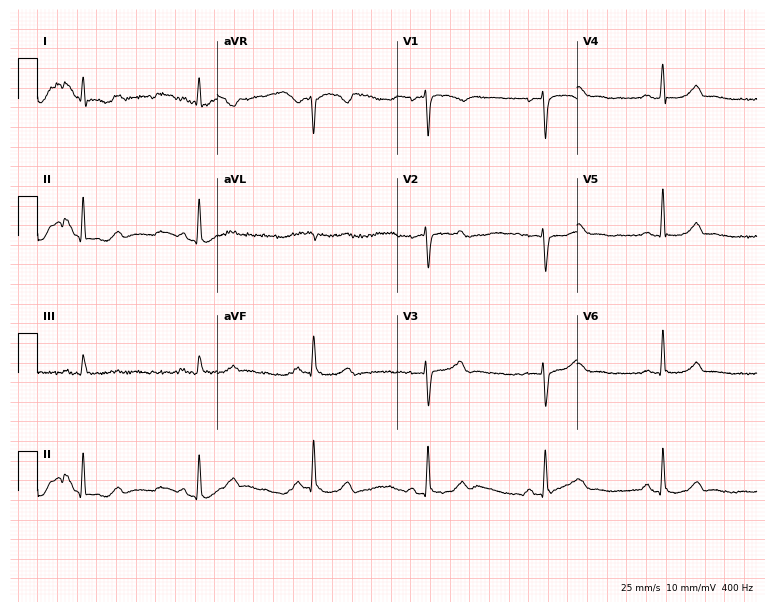
ECG — a woman, 50 years old. Labelled as a normal ECG.